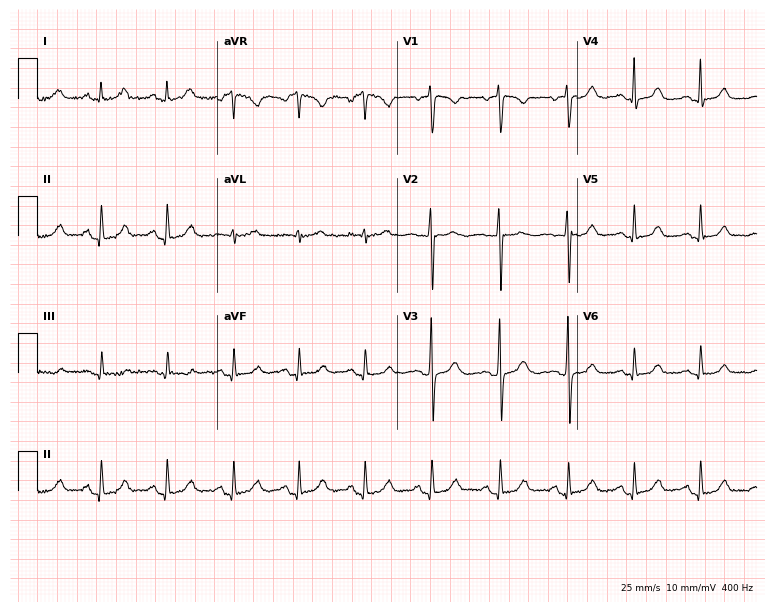
Standard 12-lead ECG recorded from a 32-year-old woman (7.3-second recording at 400 Hz). Read as a normal ECG.